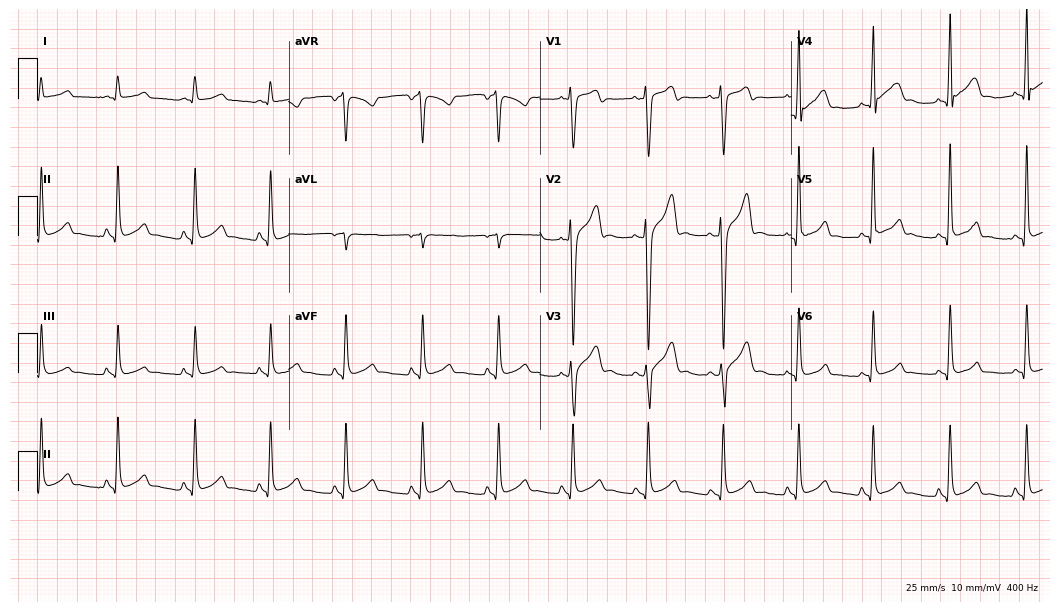
Electrocardiogram, a 22-year-old male patient. Overall reading on record: normal ECG.